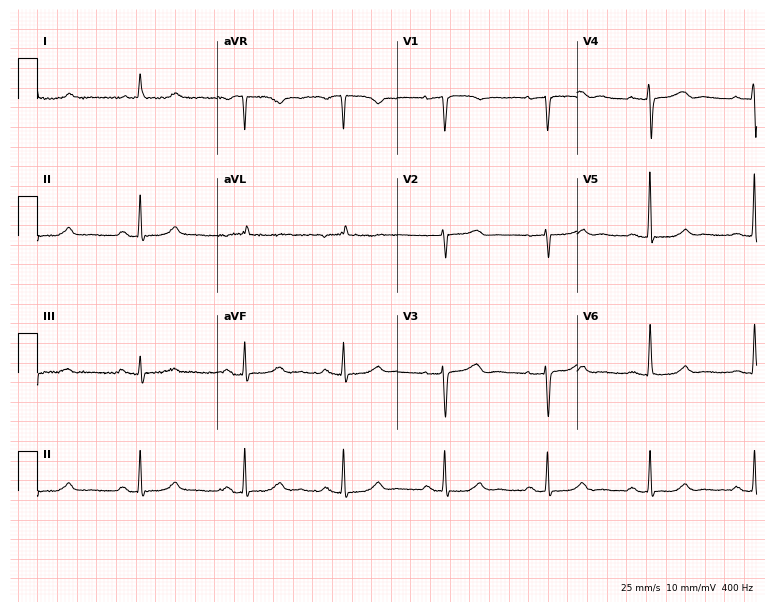
Electrocardiogram, a woman, 85 years old. Overall reading on record: normal ECG.